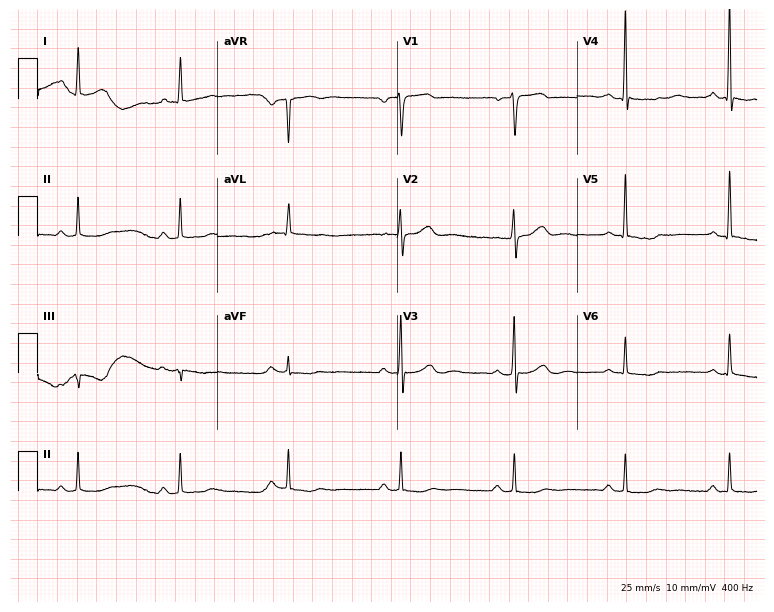
Resting 12-lead electrocardiogram (7.3-second recording at 400 Hz). Patient: a 61-year-old female. None of these six findings is recorded: first-degree AV block, right bundle branch block (RBBB), left bundle branch block (LBBB), sinus bradycardia, atrial fibrillation (AF), sinus tachycardia.